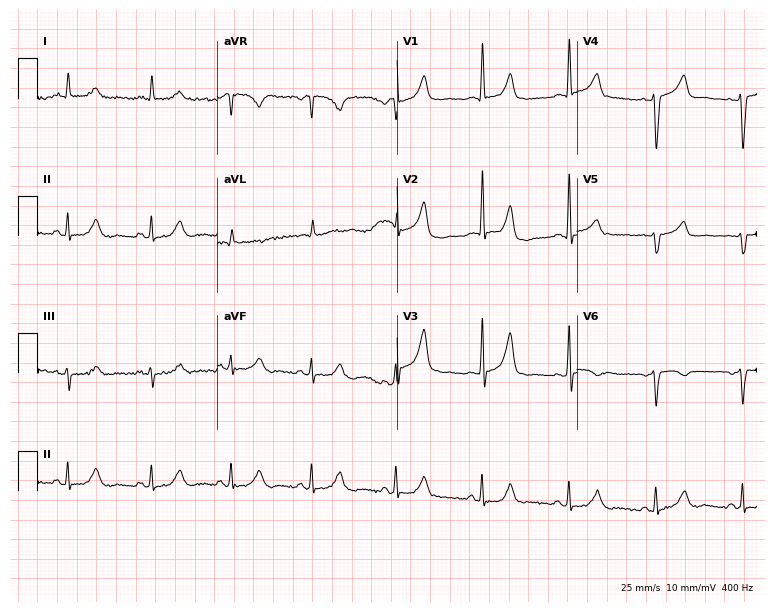
Standard 12-lead ECG recorded from an 81-year-old male (7.3-second recording at 400 Hz). None of these six findings is recorded: first-degree AV block, right bundle branch block, left bundle branch block, sinus bradycardia, atrial fibrillation, sinus tachycardia. Only these six findings were labelled.